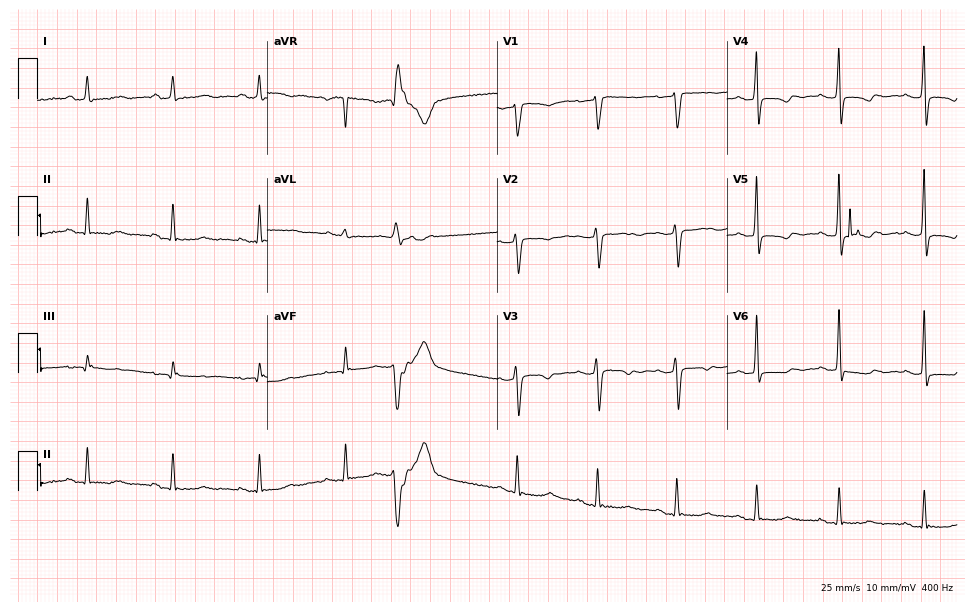
Electrocardiogram (9.4-second recording at 400 Hz), a 57-year-old female patient. Of the six screened findings (first-degree AV block, right bundle branch block (RBBB), left bundle branch block (LBBB), sinus bradycardia, atrial fibrillation (AF), sinus tachycardia), none is recorded. Findings outside these six are not listed.